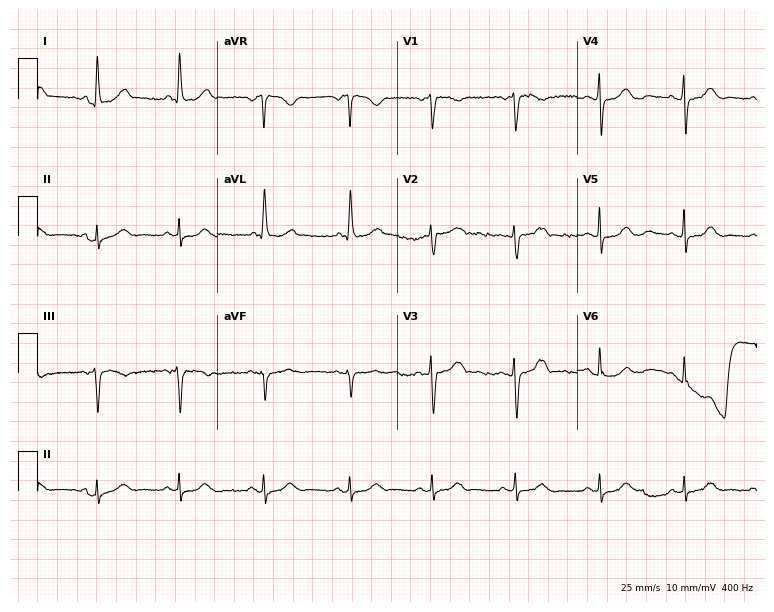
Resting 12-lead electrocardiogram (7.3-second recording at 400 Hz). Patient: a 58-year-old female. Read as a normal ECG.